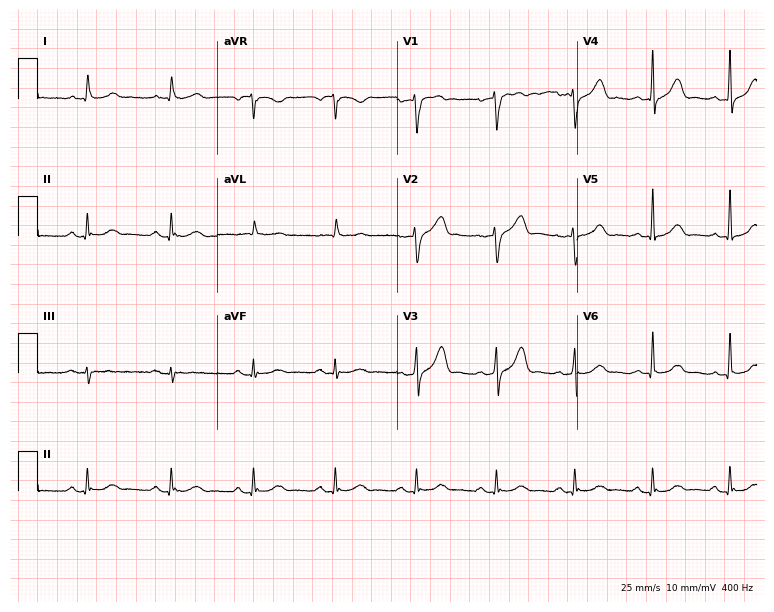
ECG (7.3-second recording at 400 Hz) — a 79-year-old male. Labelled as a normal ECG.